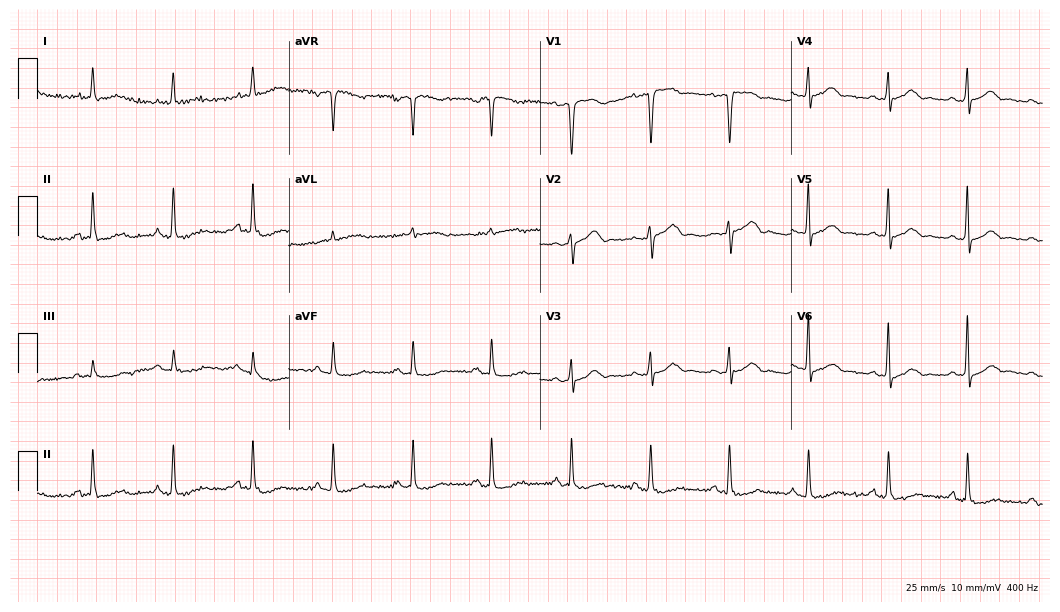
Standard 12-lead ECG recorded from a 75-year-old male. Read as a normal ECG.